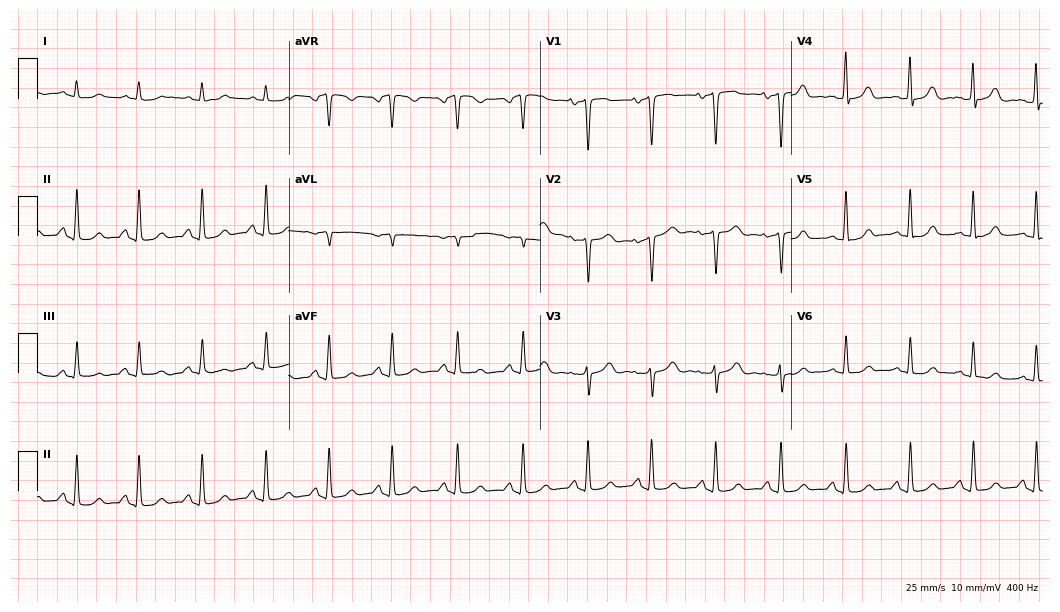
Resting 12-lead electrocardiogram. Patient: a 58-year-old woman. Read as a normal ECG.